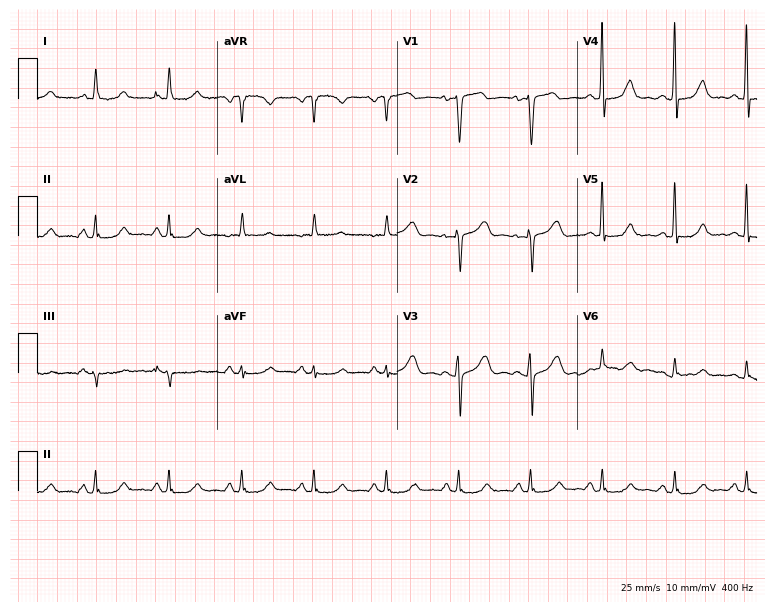
12-lead ECG (7.3-second recording at 400 Hz) from a 49-year-old female patient. Labelled as a normal ECG.